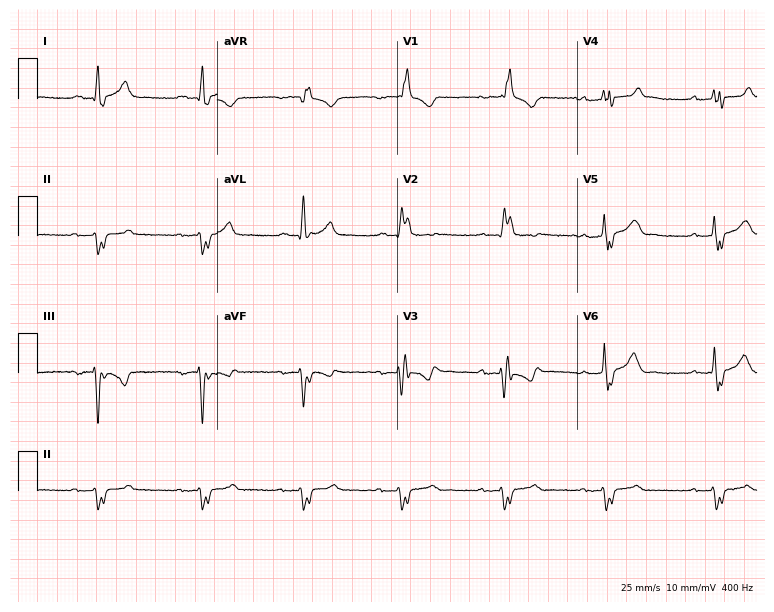
12-lead ECG from a man, 75 years old. Shows first-degree AV block, right bundle branch block.